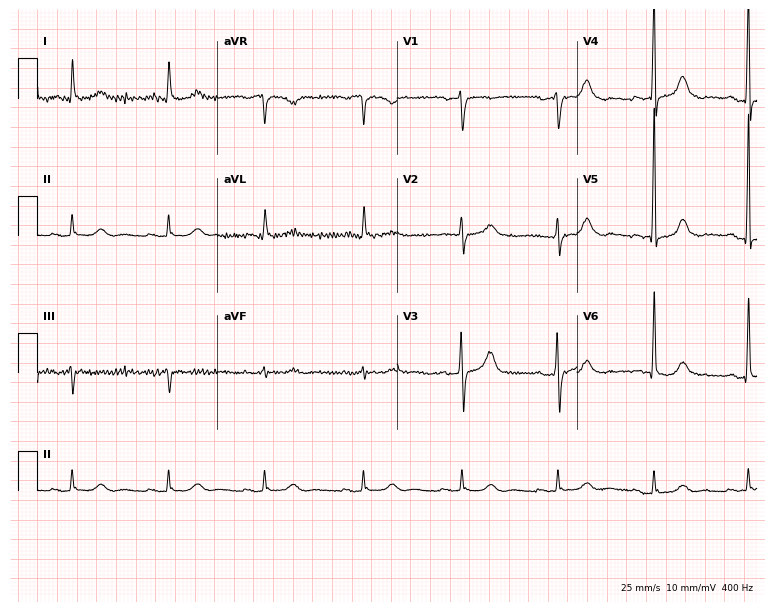
12-lead ECG (7.3-second recording at 400 Hz) from an 85-year-old man. Labelled as a normal ECG.